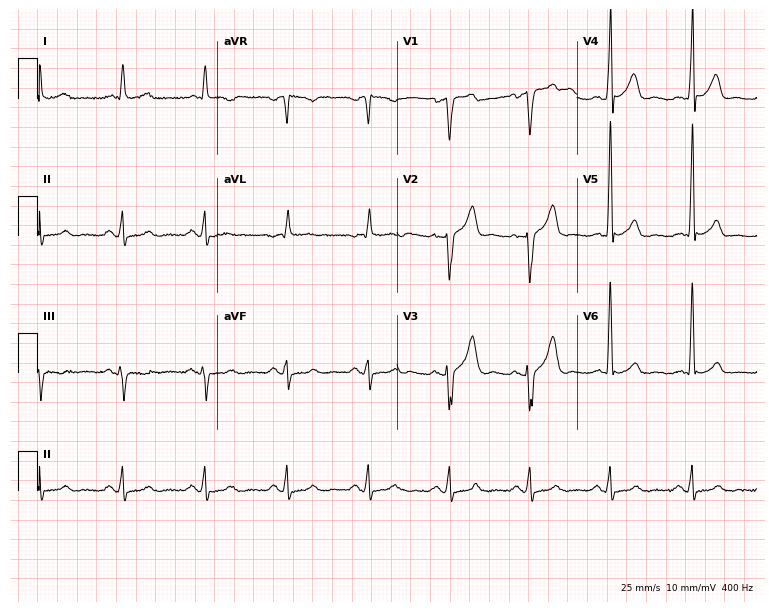
12-lead ECG from a man, 60 years old (7.3-second recording at 400 Hz). Recorded interpretation: within normal limits.